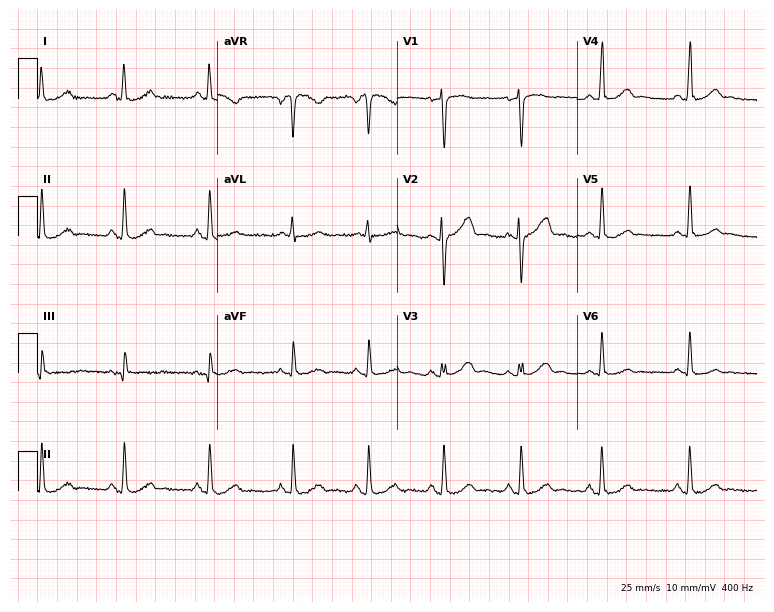
Resting 12-lead electrocardiogram. Patient: a 38-year-old woman. Read as a normal ECG.